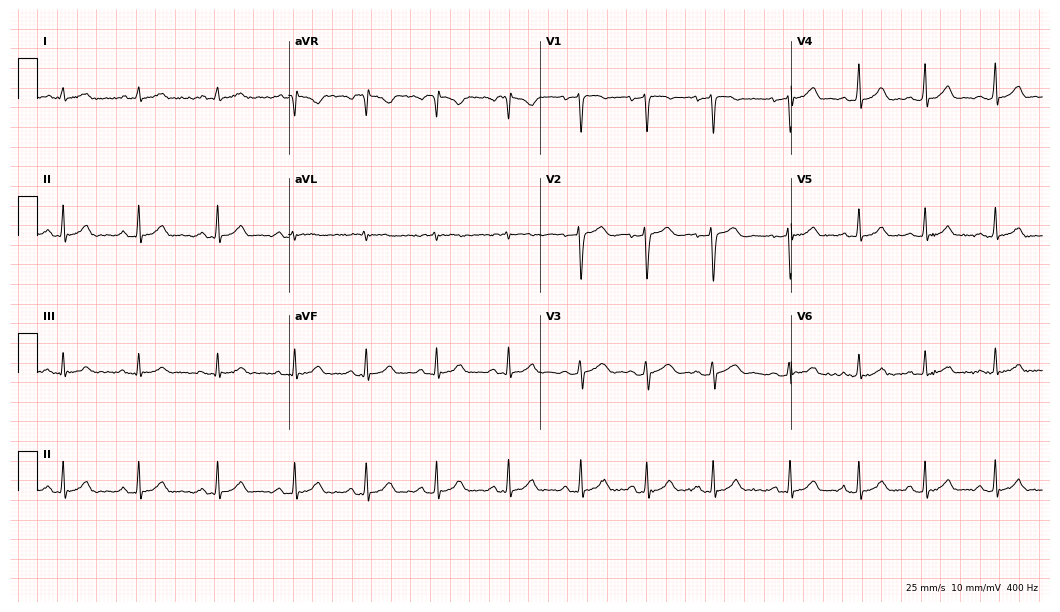
12-lead ECG from a 21-year-old woman. Labelled as a normal ECG.